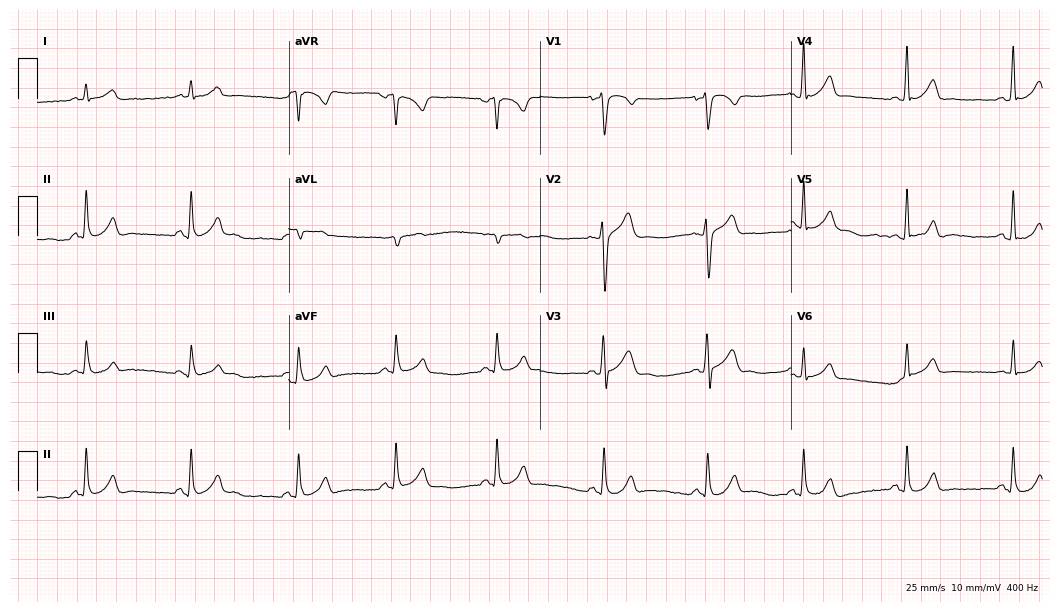
Resting 12-lead electrocardiogram (10.2-second recording at 400 Hz). Patient: a male, 28 years old. Read as a normal ECG.